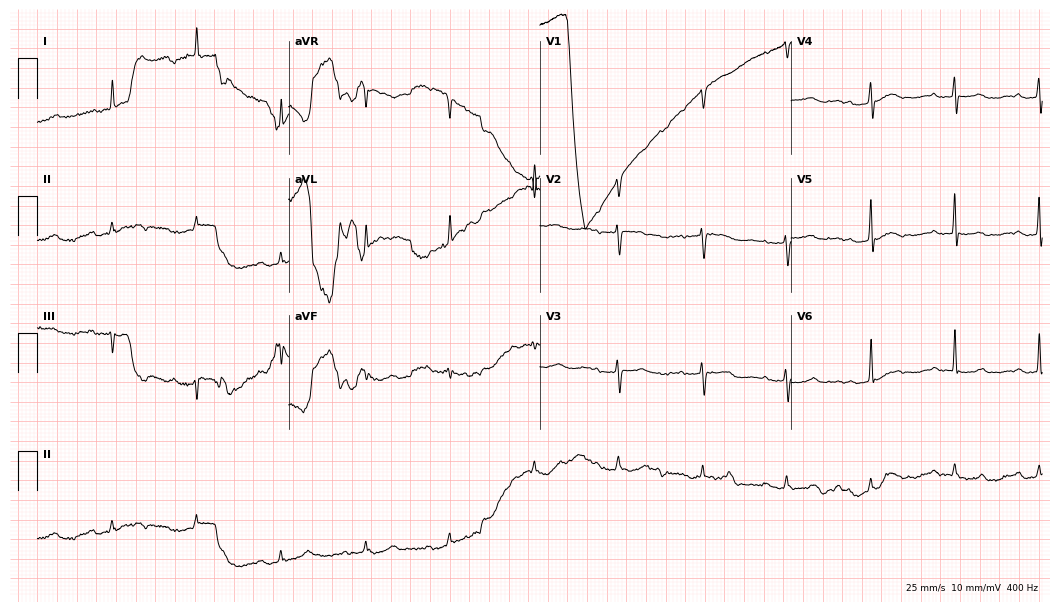
Standard 12-lead ECG recorded from a female patient, 80 years old. None of these six findings is recorded: first-degree AV block, right bundle branch block, left bundle branch block, sinus bradycardia, atrial fibrillation, sinus tachycardia.